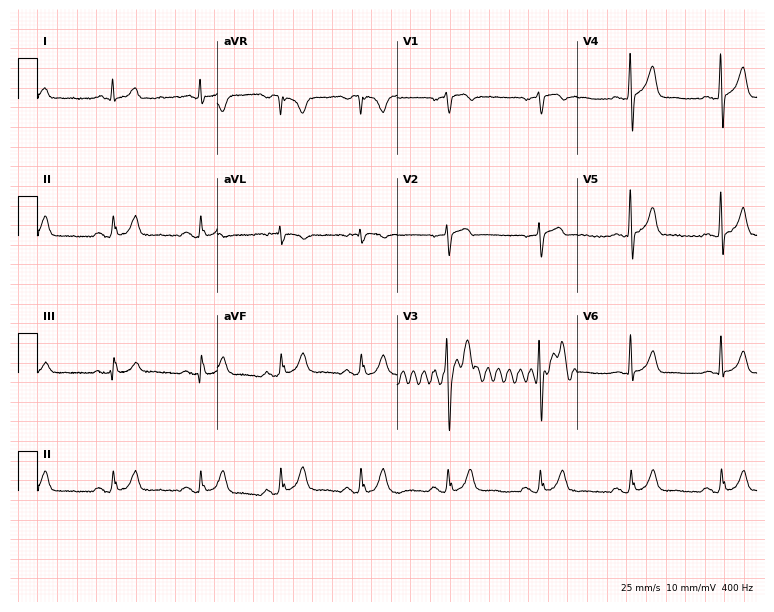
Electrocardiogram (7.3-second recording at 400 Hz), a male, 54 years old. Overall reading on record: normal ECG.